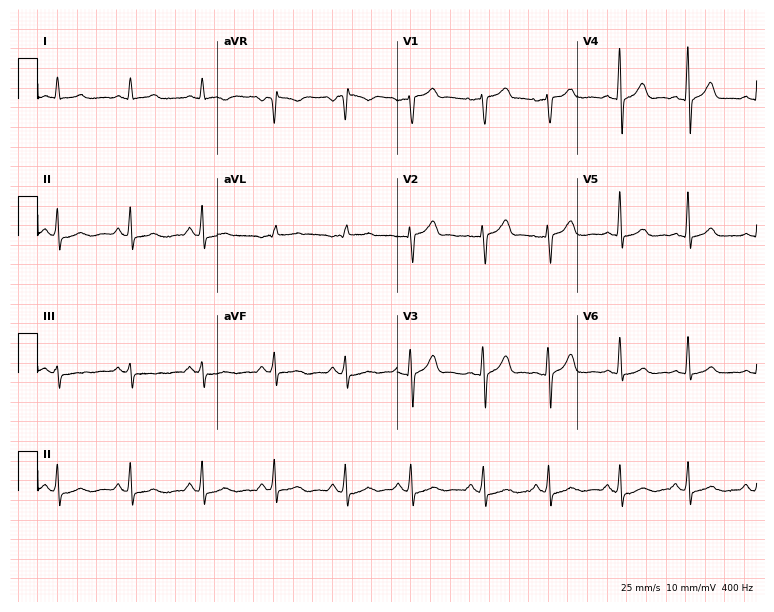
Standard 12-lead ECG recorded from a 67-year-old male. None of these six findings is recorded: first-degree AV block, right bundle branch block (RBBB), left bundle branch block (LBBB), sinus bradycardia, atrial fibrillation (AF), sinus tachycardia.